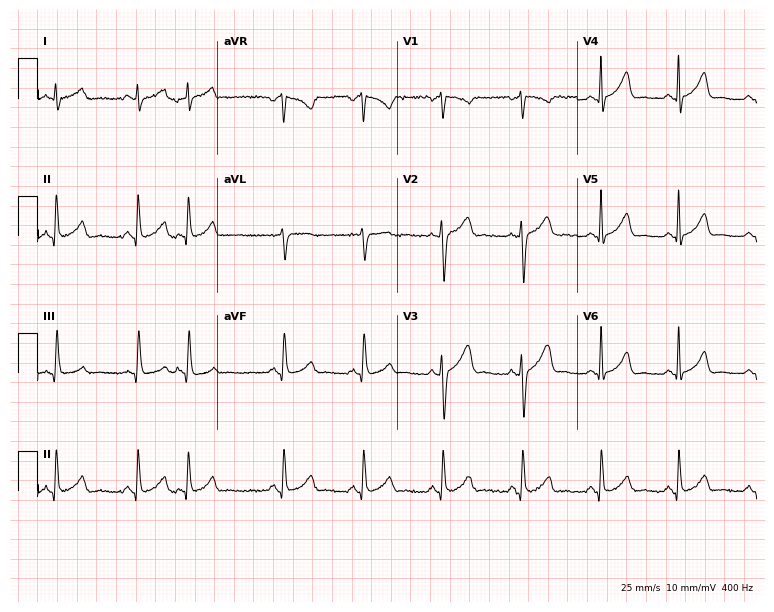
Resting 12-lead electrocardiogram (7.3-second recording at 400 Hz). Patient: a 44-year-old male. Read as a normal ECG.